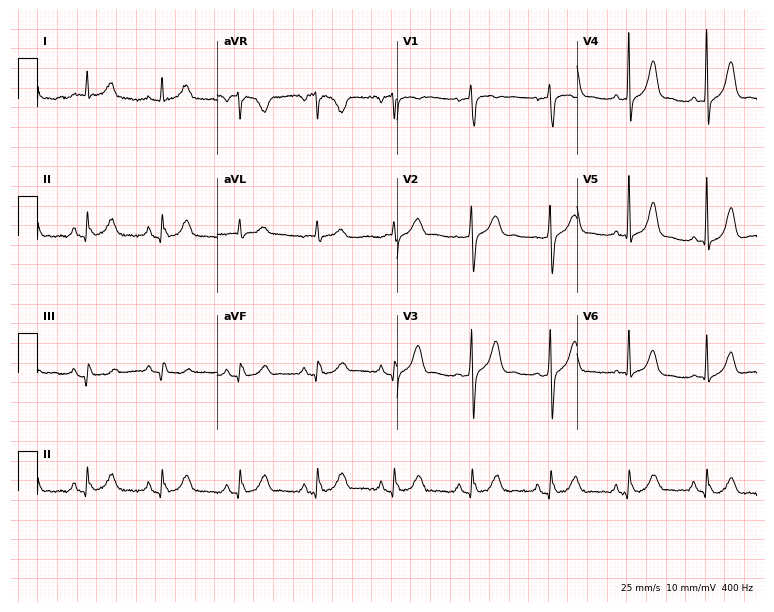
12-lead ECG from a female, 69 years old (7.3-second recording at 400 Hz). Recorded interpretation: within normal limits.